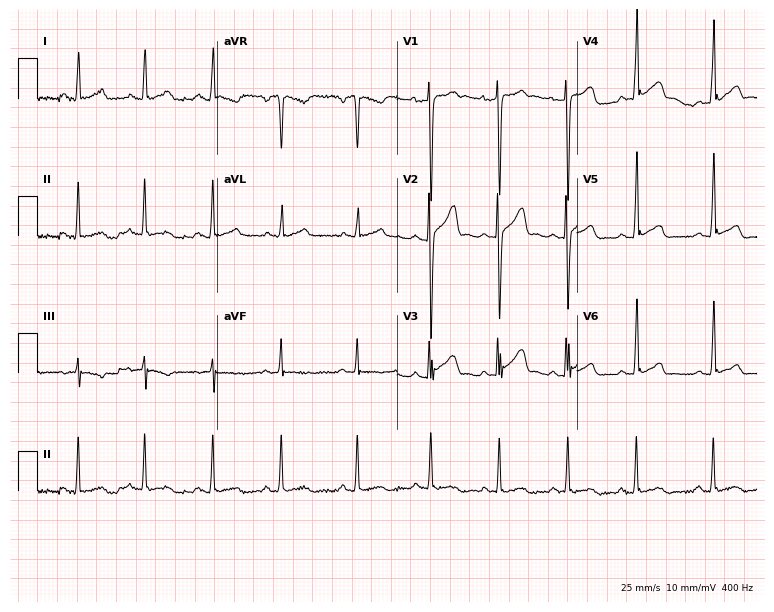
Electrocardiogram, a man, 31 years old. Of the six screened findings (first-degree AV block, right bundle branch block, left bundle branch block, sinus bradycardia, atrial fibrillation, sinus tachycardia), none is recorded. Other findings, if any, are not listed.